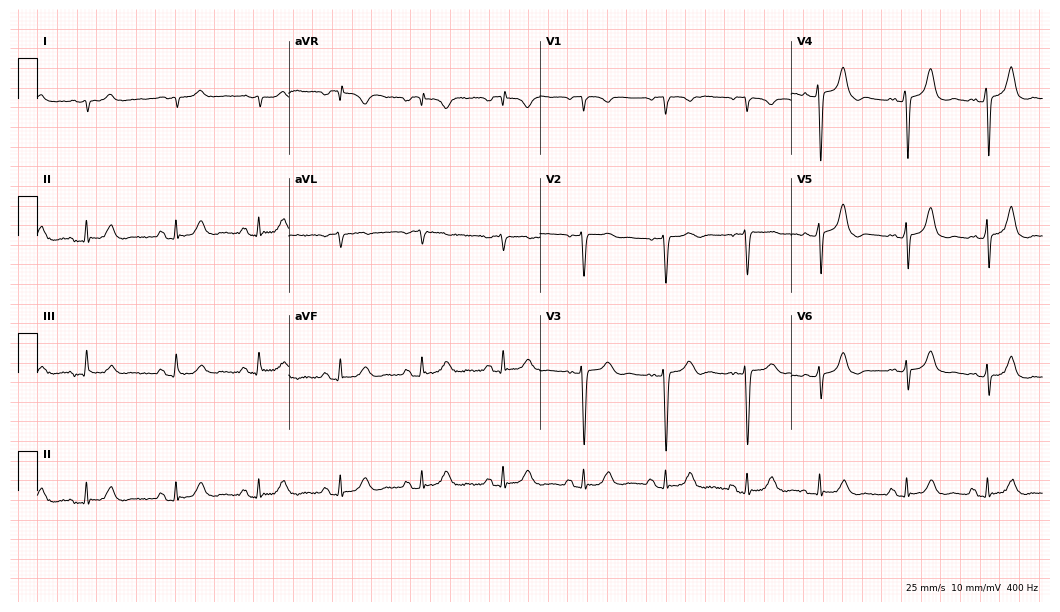
ECG — a 78-year-old male. Screened for six findings — first-degree AV block, right bundle branch block, left bundle branch block, sinus bradycardia, atrial fibrillation, sinus tachycardia — none is recorded. Only these six findings were labelled.